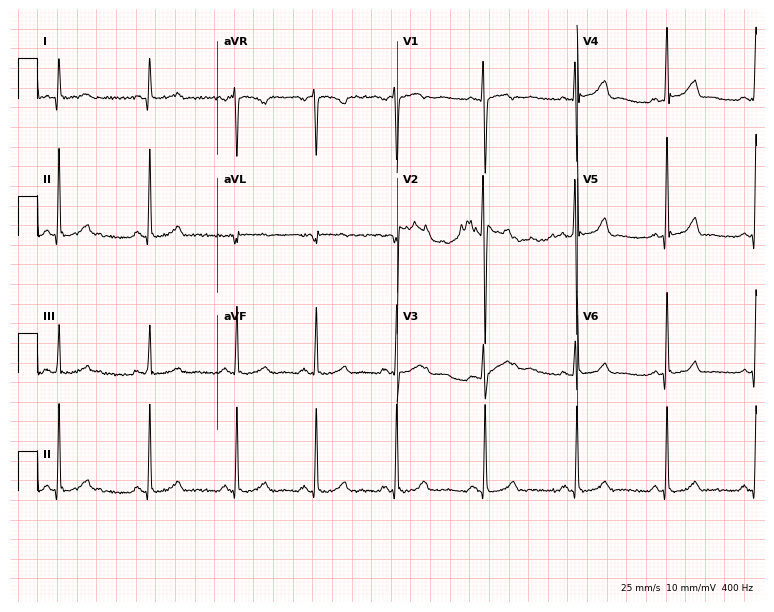
Resting 12-lead electrocardiogram. Patient: a 28-year-old female. None of these six findings is recorded: first-degree AV block, right bundle branch block (RBBB), left bundle branch block (LBBB), sinus bradycardia, atrial fibrillation (AF), sinus tachycardia. Only these six findings were labelled.